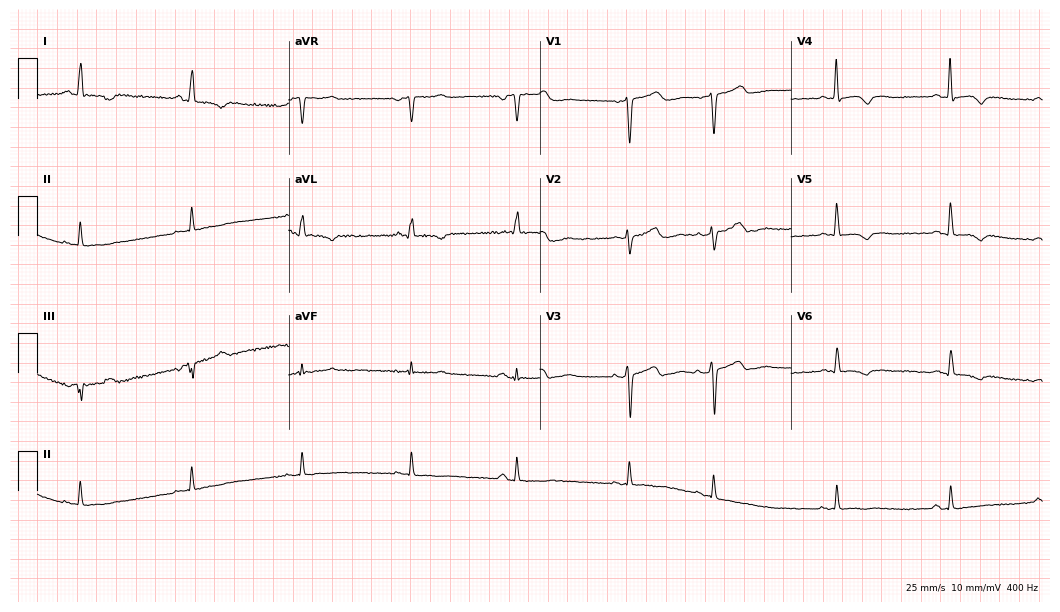
ECG — a 55-year-old female. Screened for six findings — first-degree AV block, right bundle branch block, left bundle branch block, sinus bradycardia, atrial fibrillation, sinus tachycardia — none is recorded.